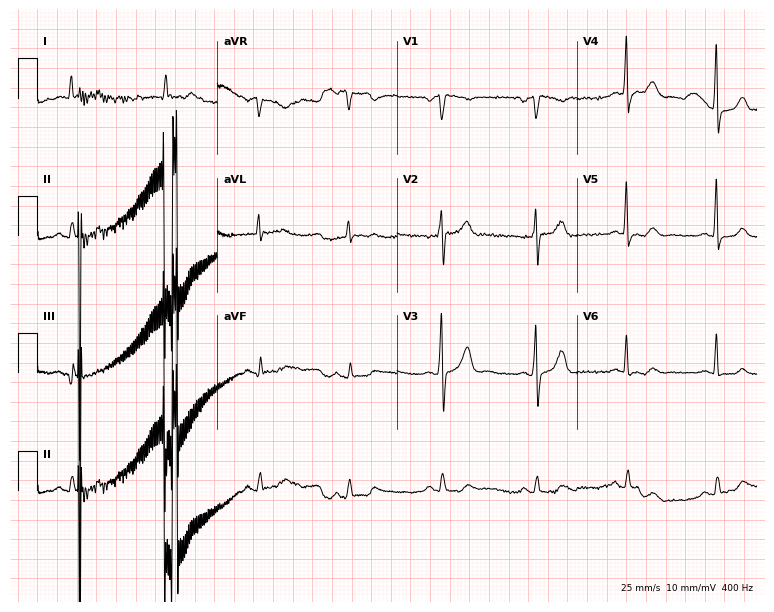
Resting 12-lead electrocardiogram. Patient: a male, 64 years old. Read as a normal ECG.